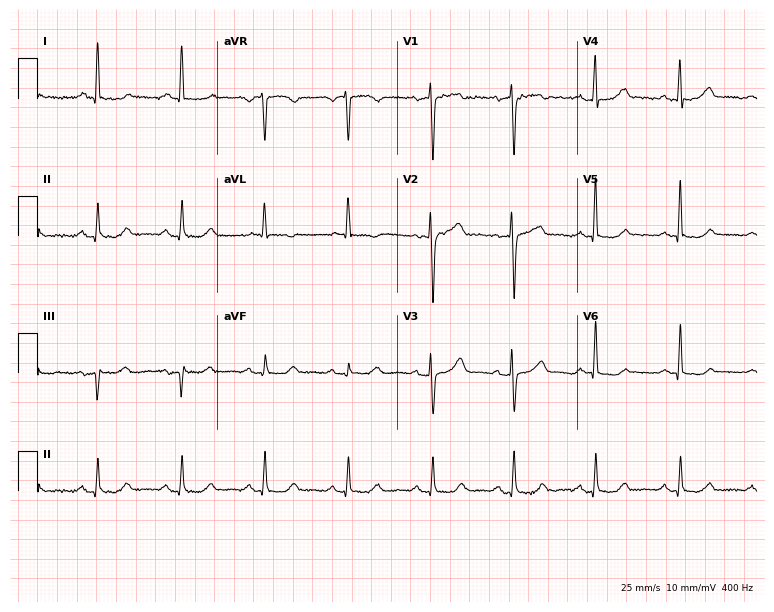
Standard 12-lead ECG recorded from a female, 55 years old. None of these six findings is recorded: first-degree AV block, right bundle branch block (RBBB), left bundle branch block (LBBB), sinus bradycardia, atrial fibrillation (AF), sinus tachycardia.